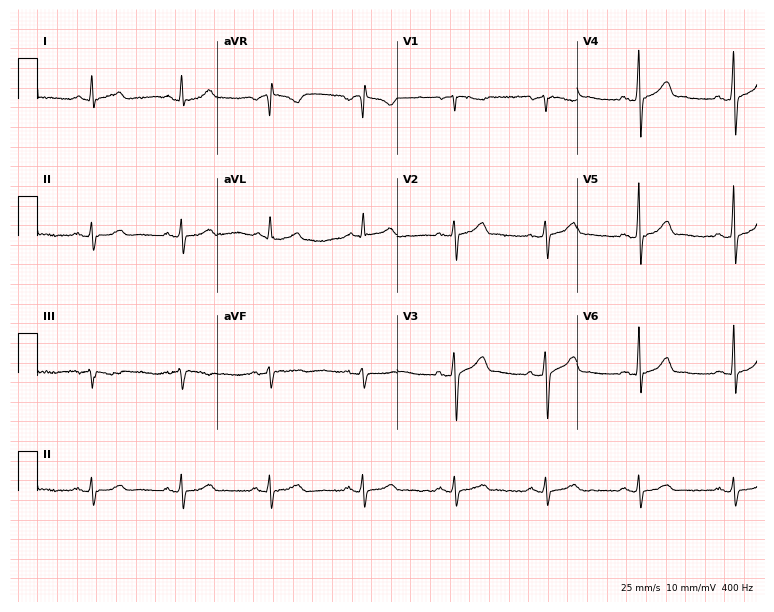
ECG — a male patient, 56 years old. Labelled as a normal ECG.